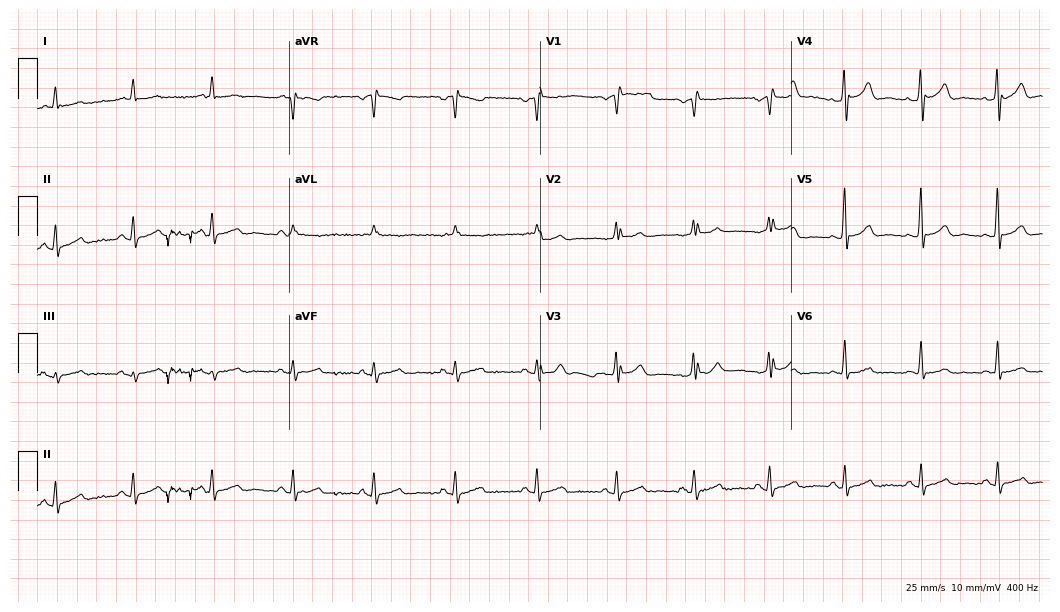
12-lead ECG from a male patient, 64 years old. Recorded interpretation: within normal limits.